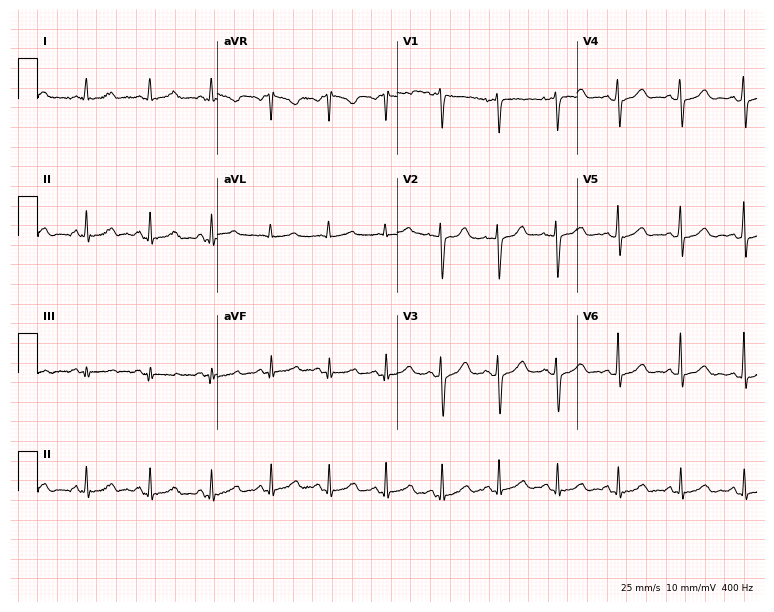
Resting 12-lead electrocardiogram (7.3-second recording at 400 Hz). Patient: a 33-year-old woman. Read as a normal ECG.